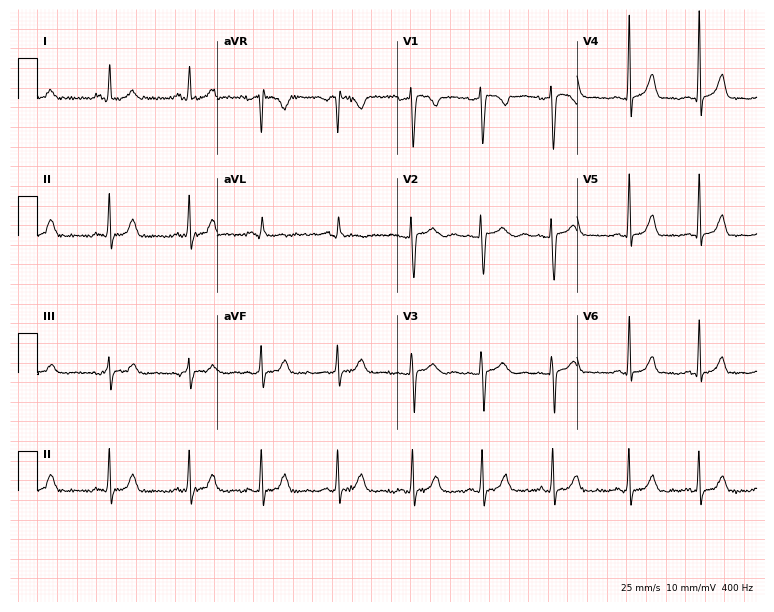
Resting 12-lead electrocardiogram (7.3-second recording at 400 Hz). Patient: a 21-year-old female. Read as a normal ECG.